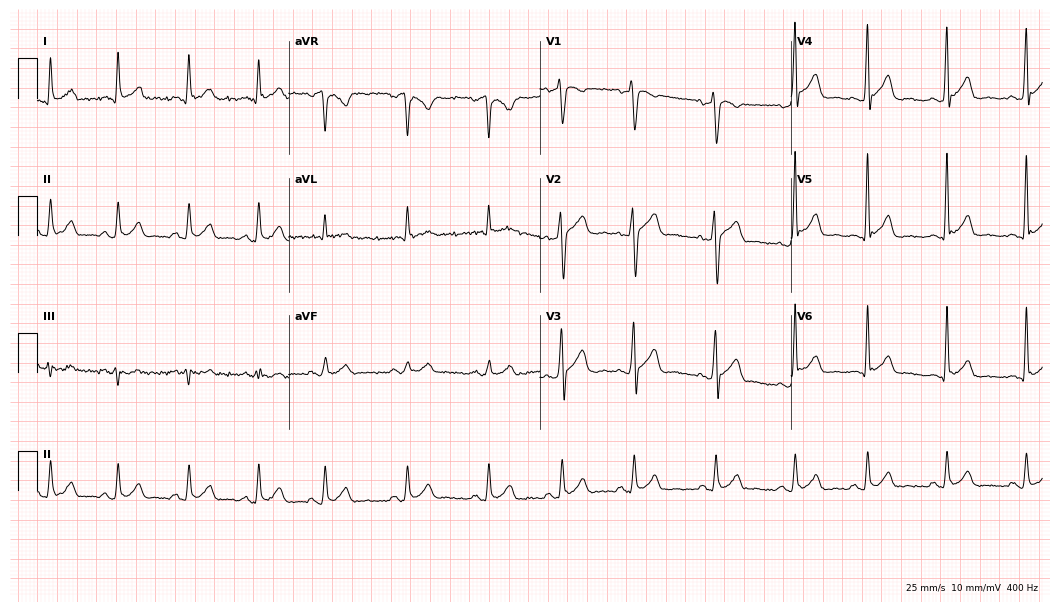
ECG (10.2-second recording at 400 Hz) — a 44-year-old male. Labelled as a normal ECG.